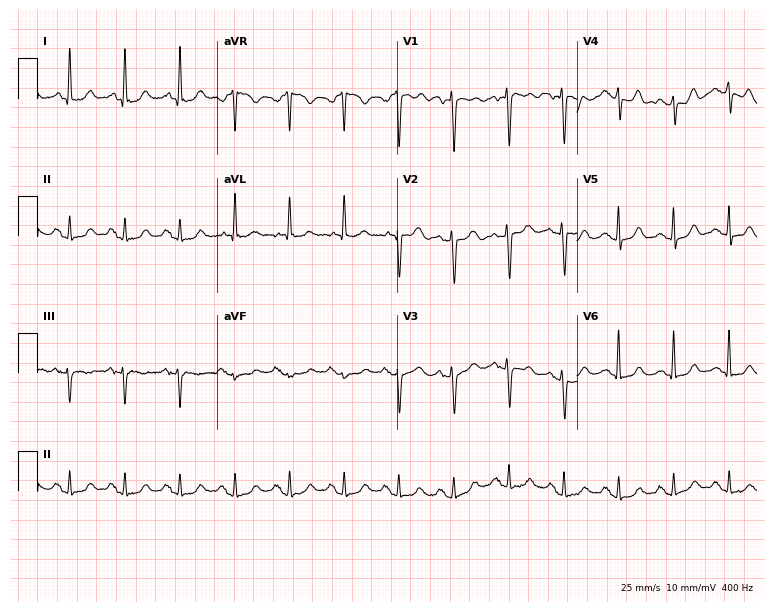
12-lead ECG (7.3-second recording at 400 Hz) from an 81-year-old woman. Findings include sinus tachycardia (a sinus rate of 100 beats per minute or more).